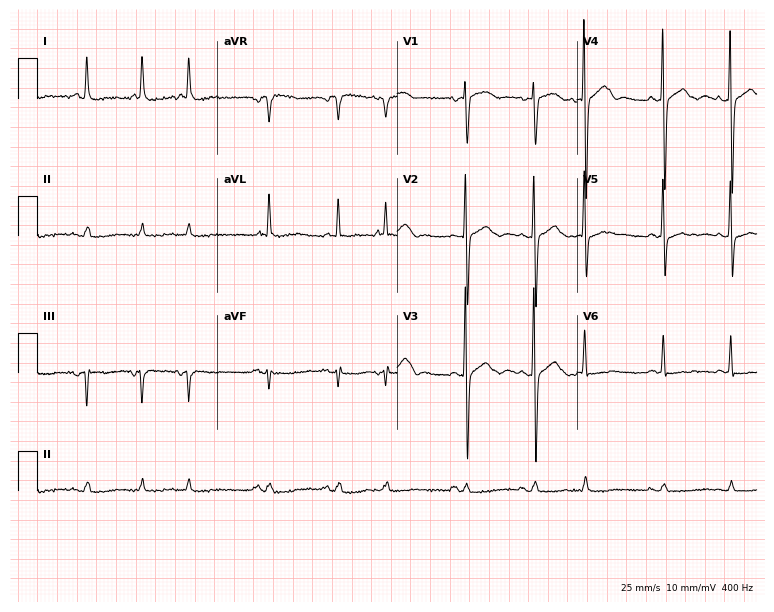
Resting 12-lead electrocardiogram. Patient: a woman, 82 years old. None of these six findings is recorded: first-degree AV block, right bundle branch block (RBBB), left bundle branch block (LBBB), sinus bradycardia, atrial fibrillation (AF), sinus tachycardia.